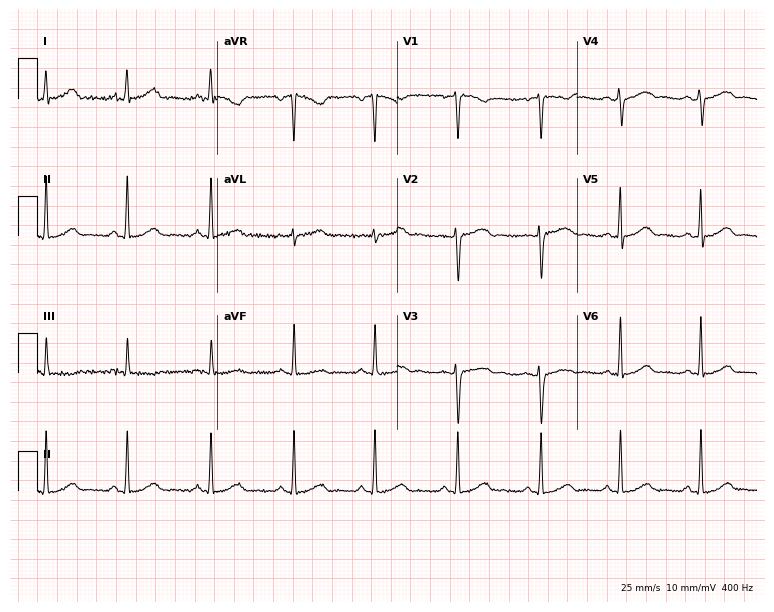
12-lead ECG from a 36-year-old female. Recorded interpretation: within normal limits.